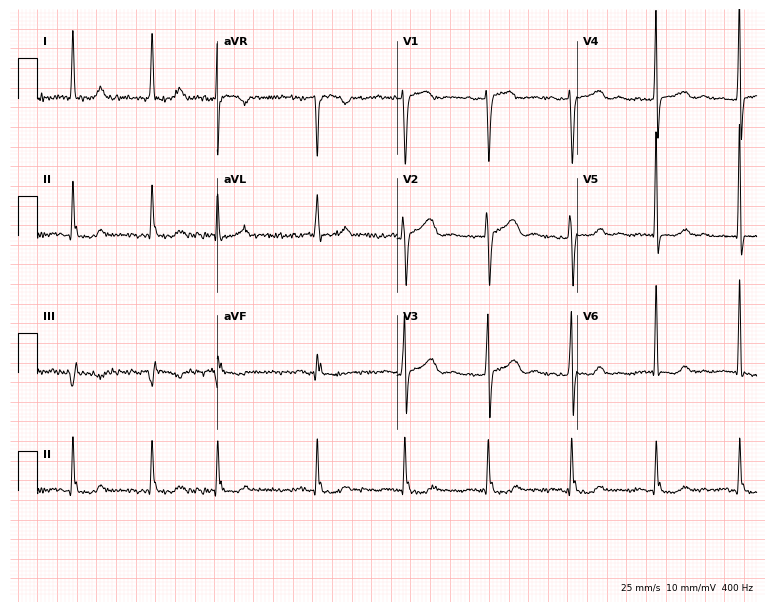
12-lead ECG from an 82-year-old female patient. No first-degree AV block, right bundle branch block, left bundle branch block, sinus bradycardia, atrial fibrillation or sinus tachycardia recorded for this tracing. Findings outside these six are not listed.